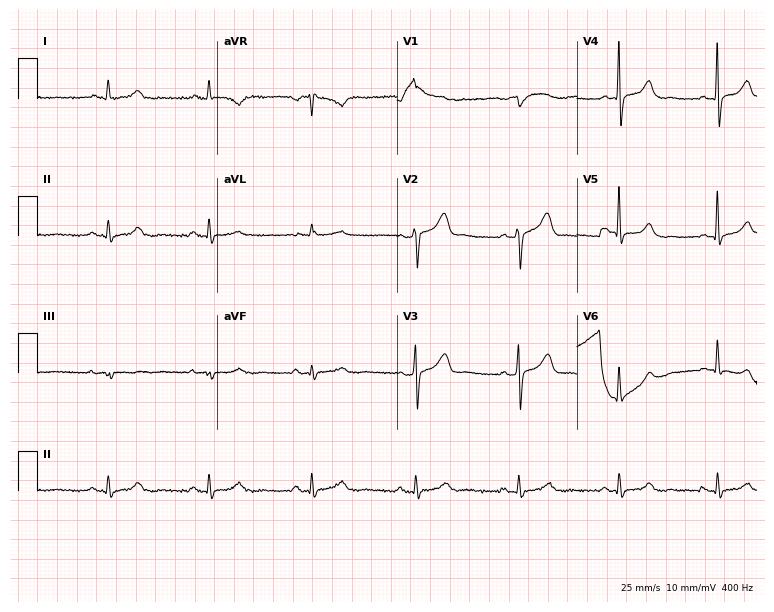
12-lead ECG from a man, 46 years old. Labelled as a normal ECG.